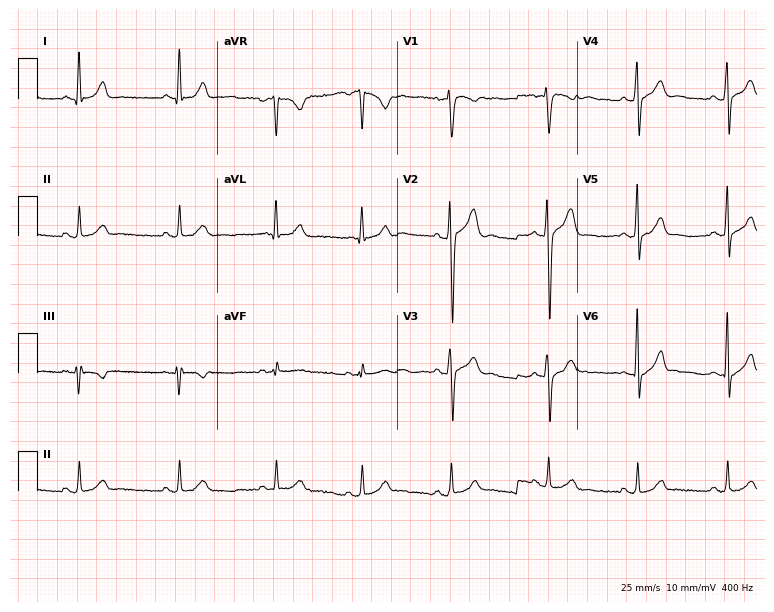
12-lead ECG from a 23-year-old male. Labelled as a normal ECG.